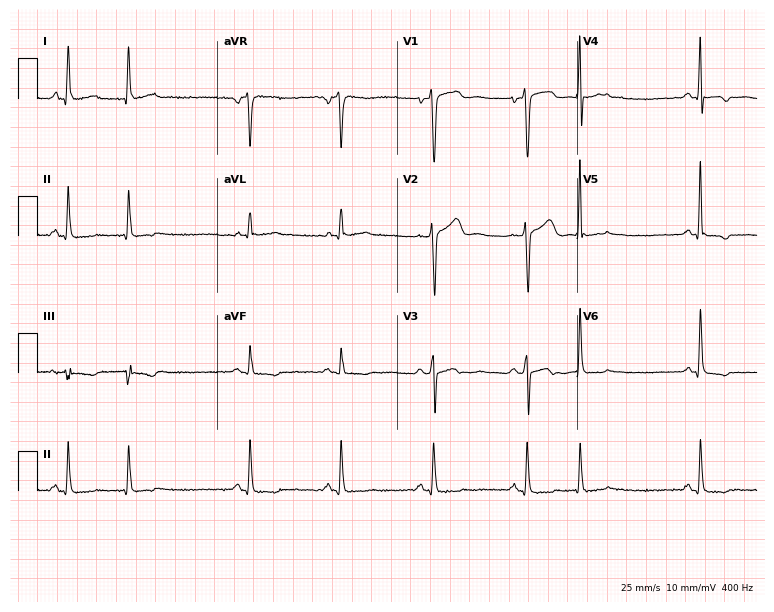
12-lead ECG from a 52-year-old male (7.3-second recording at 400 Hz). No first-degree AV block, right bundle branch block (RBBB), left bundle branch block (LBBB), sinus bradycardia, atrial fibrillation (AF) or sinus tachycardia recorded for this tracing.